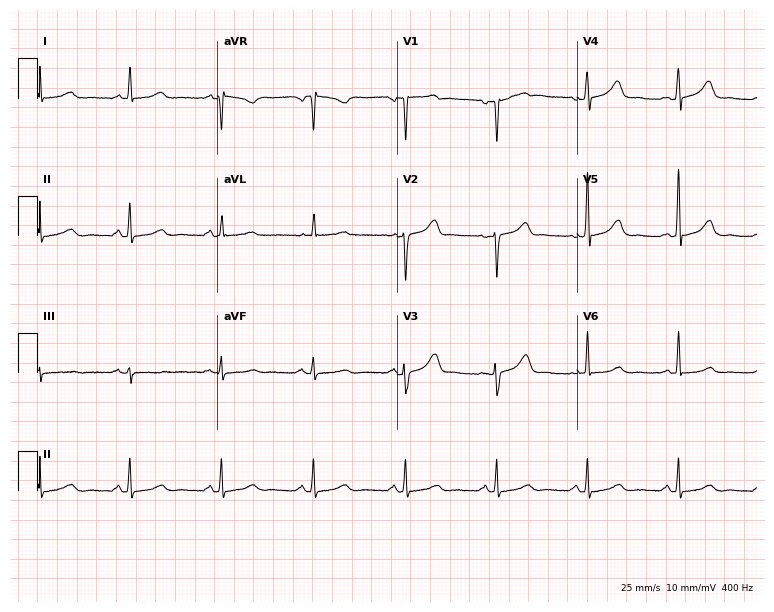
Resting 12-lead electrocardiogram (7.3-second recording at 400 Hz). Patient: a 64-year-old female. Read as a normal ECG.